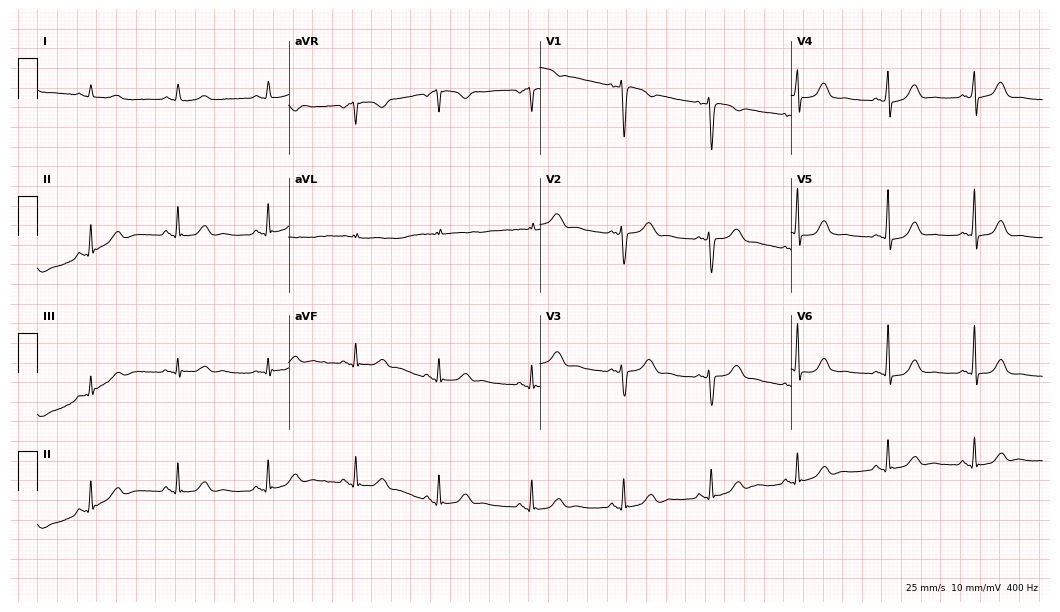
12-lead ECG from a woman, 45 years old. Recorded interpretation: within normal limits.